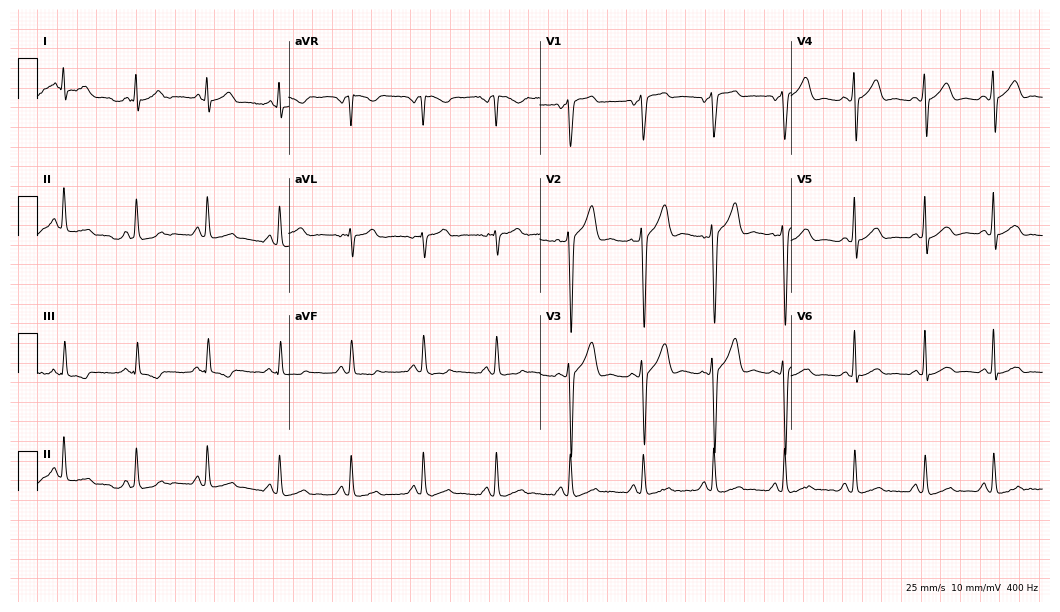
ECG (10.2-second recording at 400 Hz) — a 36-year-old male patient. Labelled as a normal ECG.